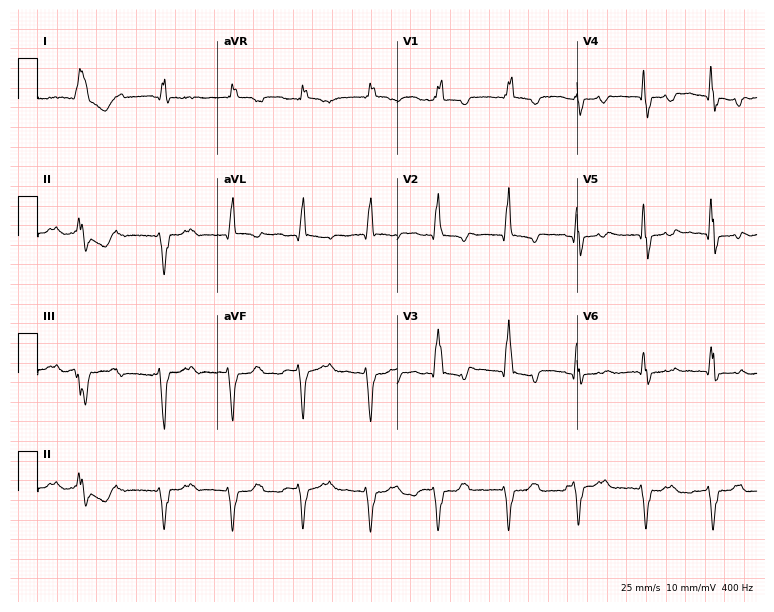
ECG — a 65-year-old male. Screened for six findings — first-degree AV block, right bundle branch block, left bundle branch block, sinus bradycardia, atrial fibrillation, sinus tachycardia — none is recorded. Findings outside these six are not listed.